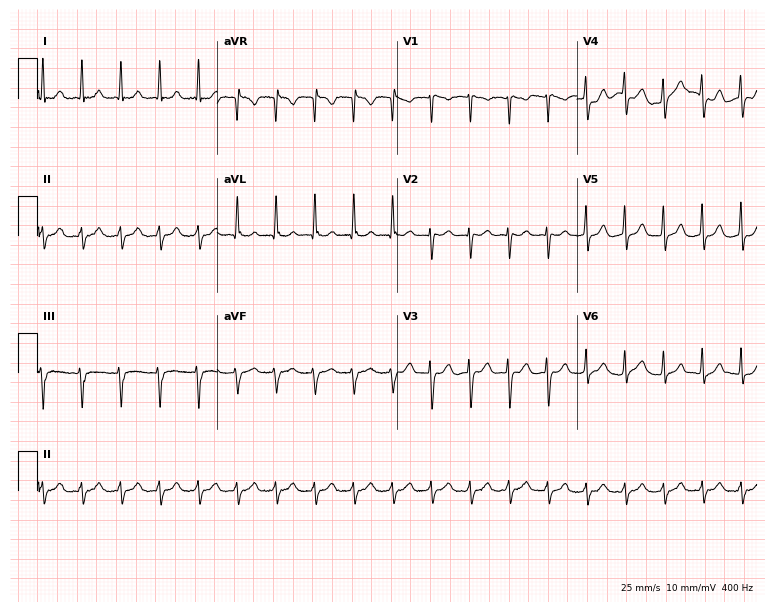
Electrocardiogram, a woman, 39 years old. Interpretation includes sinus tachycardia (a sinus rate of 100 beats per minute or more).